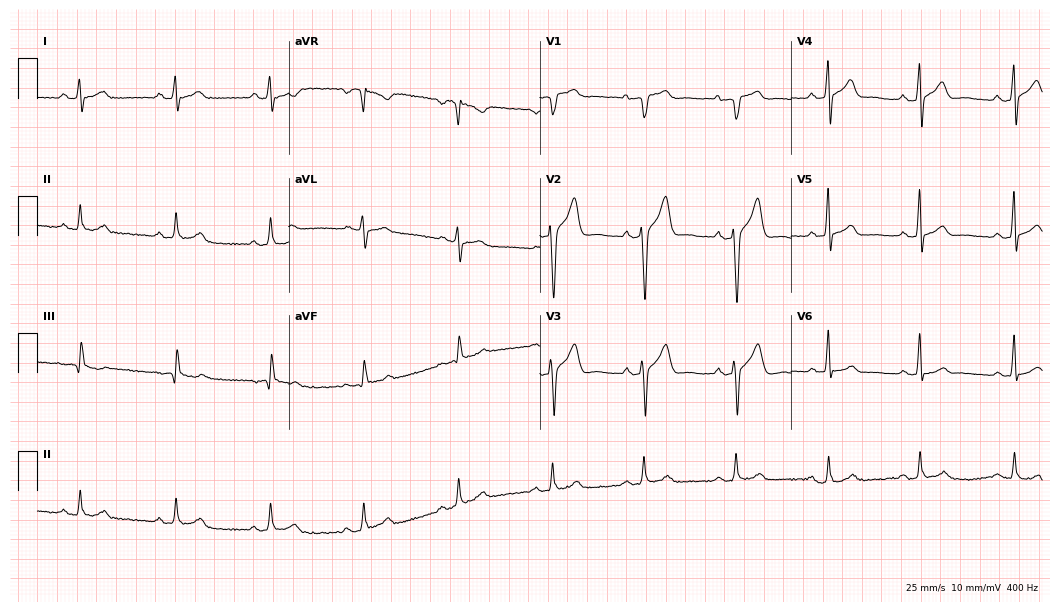
12-lead ECG from a 58-year-old male (10.2-second recording at 400 Hz). Recorded interpretation: within normal limits.